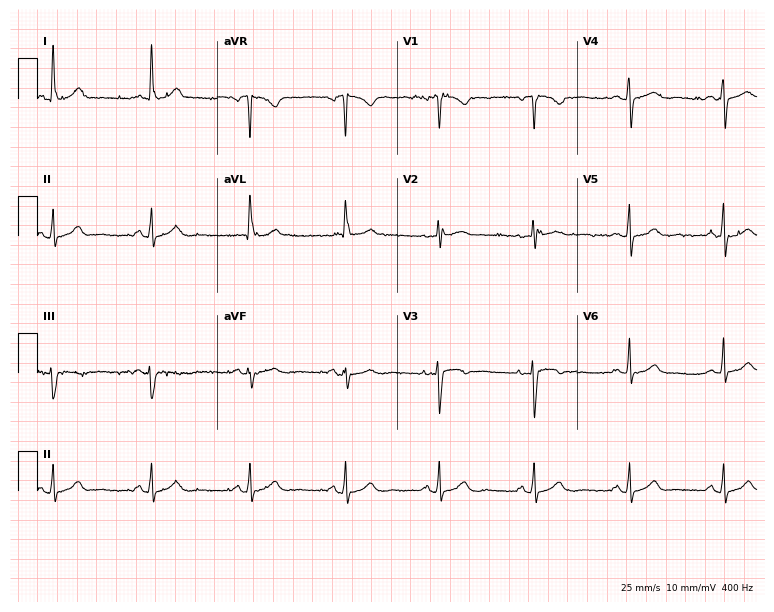
Standard 12-lead ECG recorded from a man, 52 years old (7.3-second recording at 400 Hz). Read as a normal ECG.